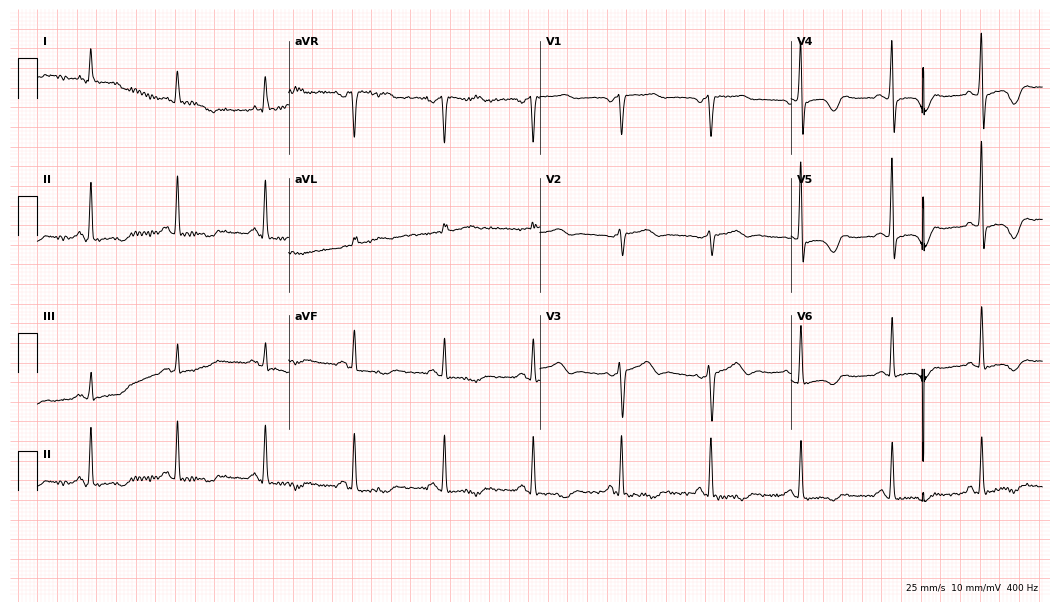
ECG — a female patient, 59 years old. Screened for six findings — first-degree AV block, right bundle branch block (RBBB), left bundle branch block (LBBB), sinus bradycardia, atrial fibrillation (AF), sinus tachycardia — none is recorded.